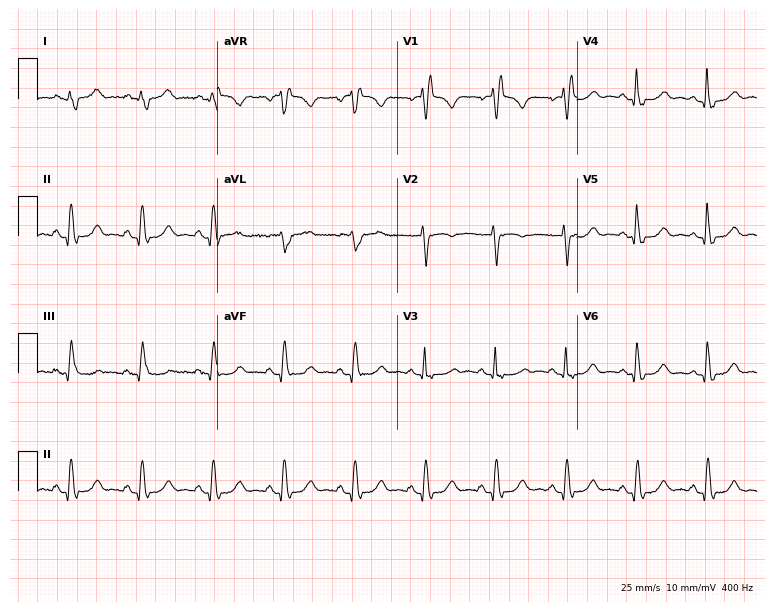
12-lead ECG from a female patient, 84 years old. Shows right bundle branch block.